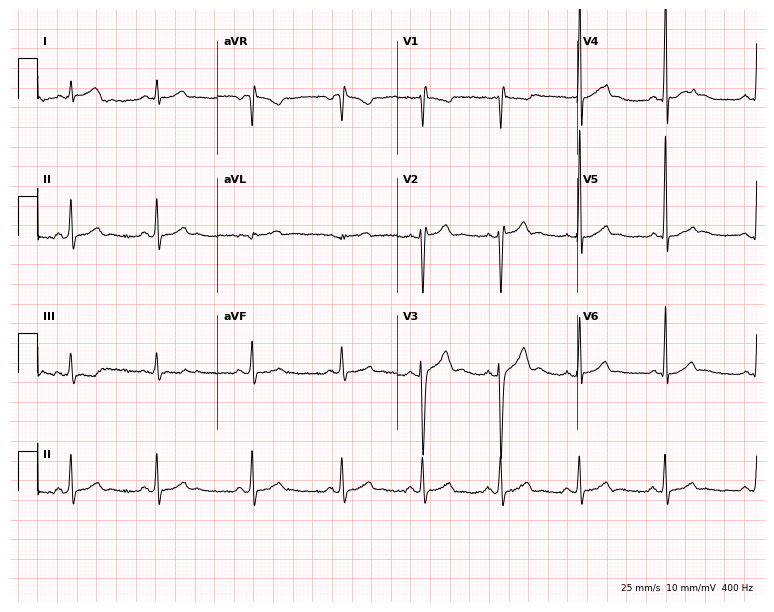
12-lead ECG (7.3-second recording at 400 Hz) from a man, 22 years old. Labelled as a normal ECG.